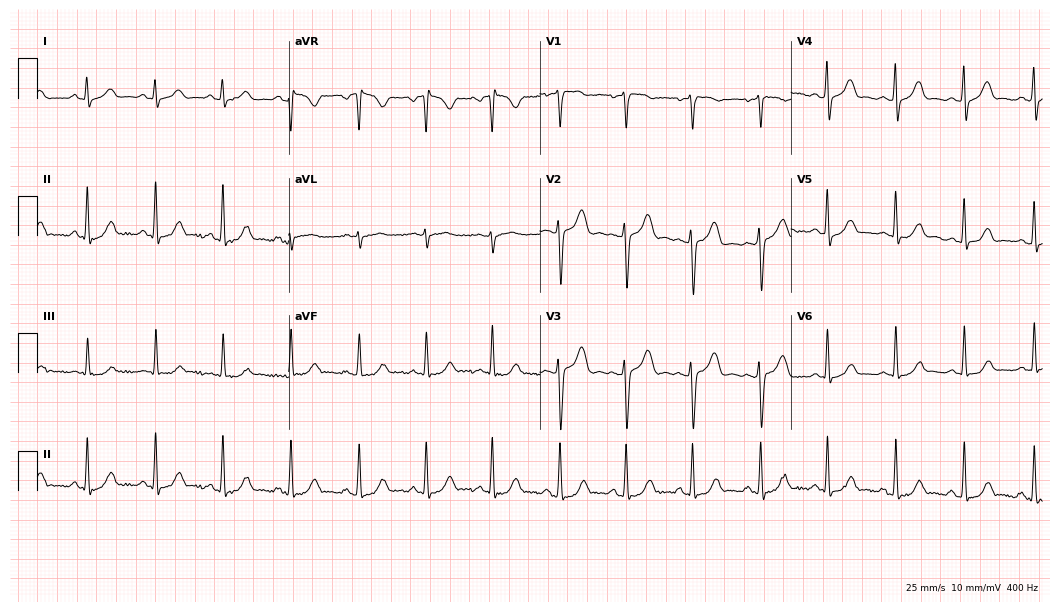
ECG (10.2-second recording at 400 Hz) — a 30-year-old female patient. Labelled as a normal ECG.